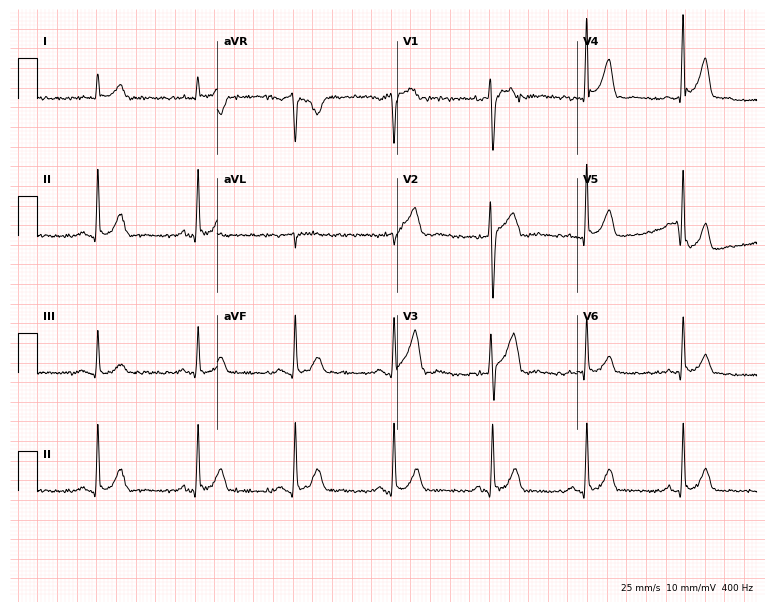
Electrocardiogram, a 39-year-old female patient. Of the six screened findings (first-degree AV block, right bundle branch block, left bundle branch block, sinus bradycardia, atrial fibrillation, sinus tachycardia), none is recorded.